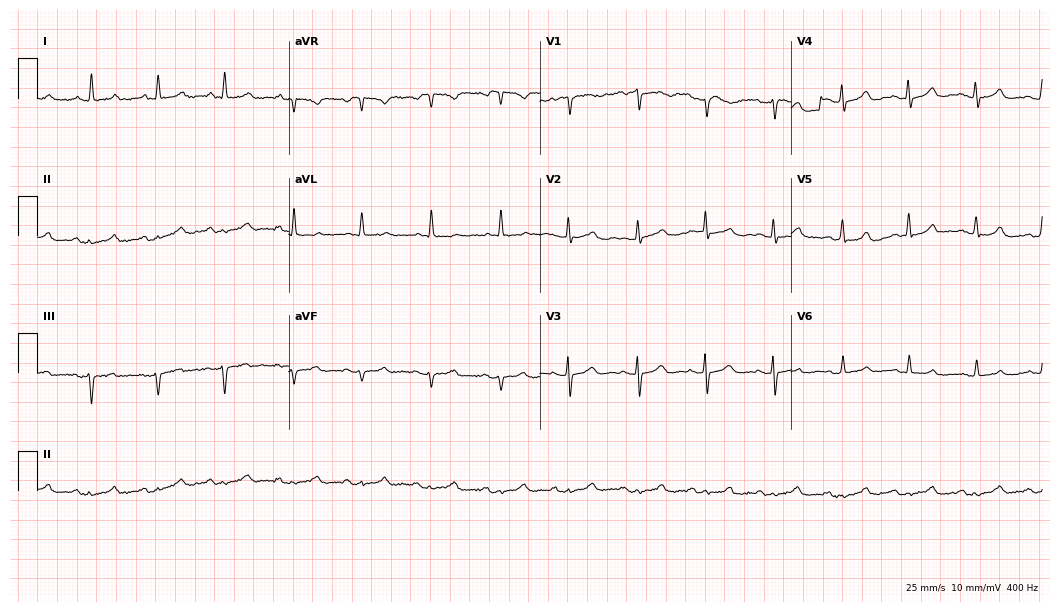
Resting 12-lead electrocardiogram. Patient: a woman, 86 years old. None of these six findings is recorded: first-degree AV block, right bundle branch block (RBBB), left bundle branch block (LBBB), sinus bradycardia, atrial fibrillation (AF), sinus tachycardia. Only these six findings were labelled.